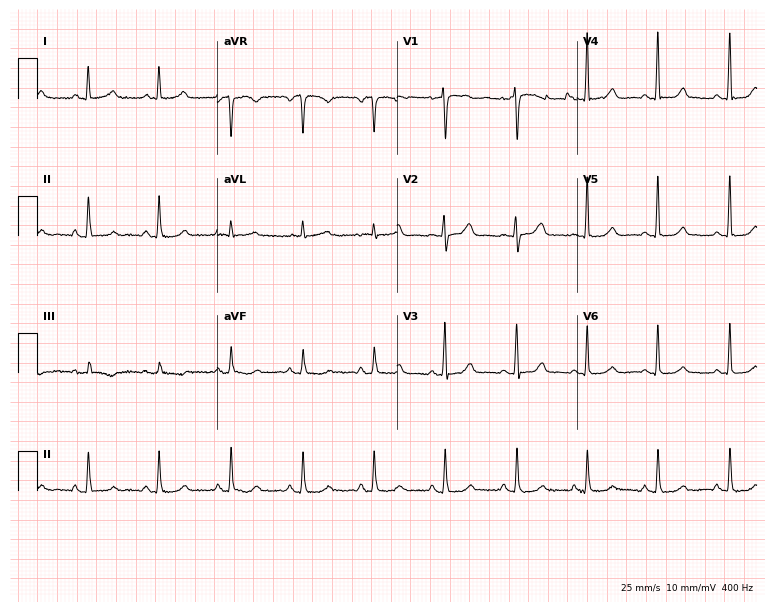
Resting 12-lead electrocardiogram. Patient: a female, 74 years old. Read as a normal ECG.